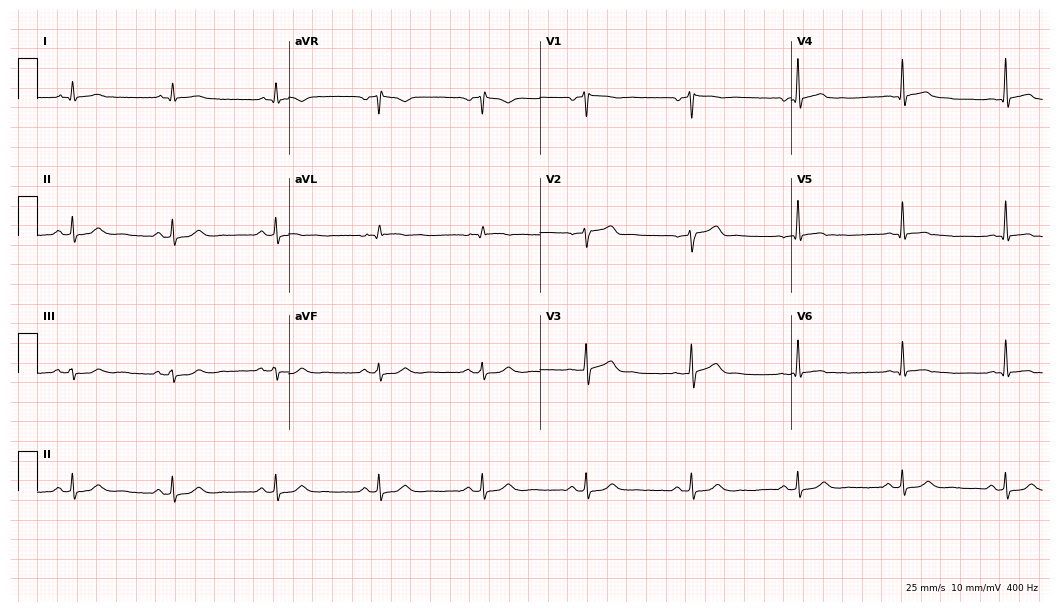
ECG (10.2-second recording at 400 Hz) — a male patient, 48 years old. Screened for six findings — first-degree AV block, right bundle branch block, left bundle branch block, sinus bradycardia, atrial fibrillation, sinus tachycardia — none is recorded. Only these six findings were labelled.